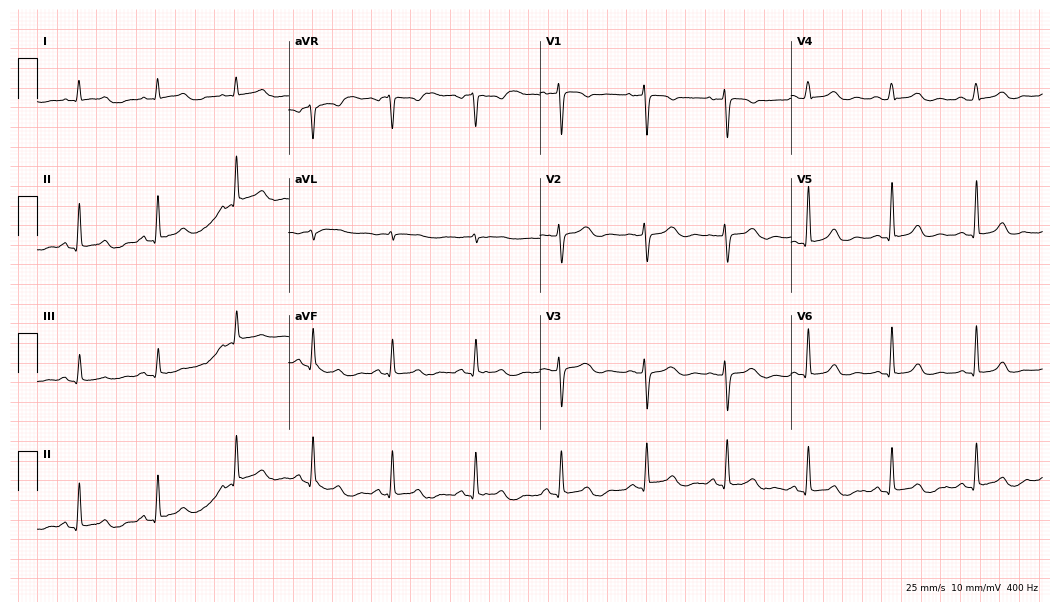
12-lead ECG (10.2-second recording at 400 Hz) from a female patient, 34 years old. Screened for six findings — first-degree AV block, right bundle branch block, left bundle branch block, sinus bradycardia, atrial fibrillation, sinus tachycardia — none is recorded.